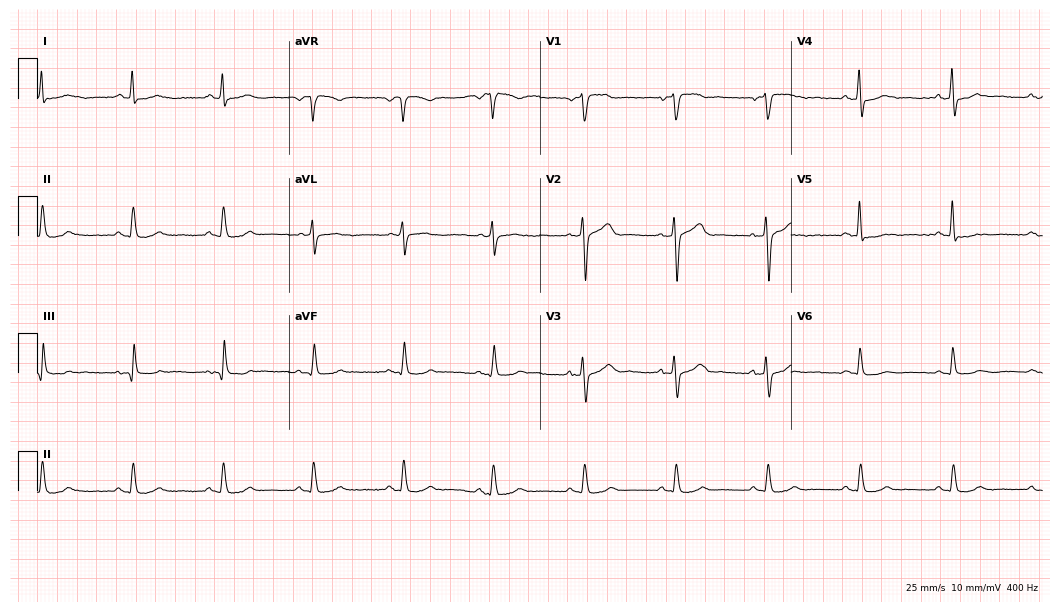
12-lead ECG from a 69-year-old male patient (10.2-second recording at 400 Hz). No first-degree AV block, right bundle branch block, left bundle branch block, sinus bradycardia, atrial fibrillation or sinus tachycardia recorded for this tracing.